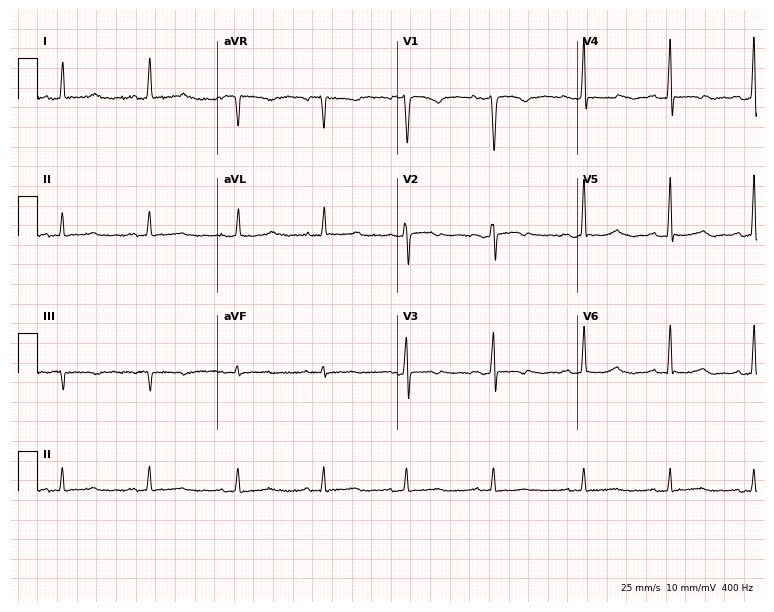
Resting 12-lead electrocardiogram. Patient: a female, 51 years old. None of these six findings is recorded: first-degree AV block, right bundle branch block, left bundle branch block, sinus bradycardia, atrial fibrillation, sinus tachycardia.